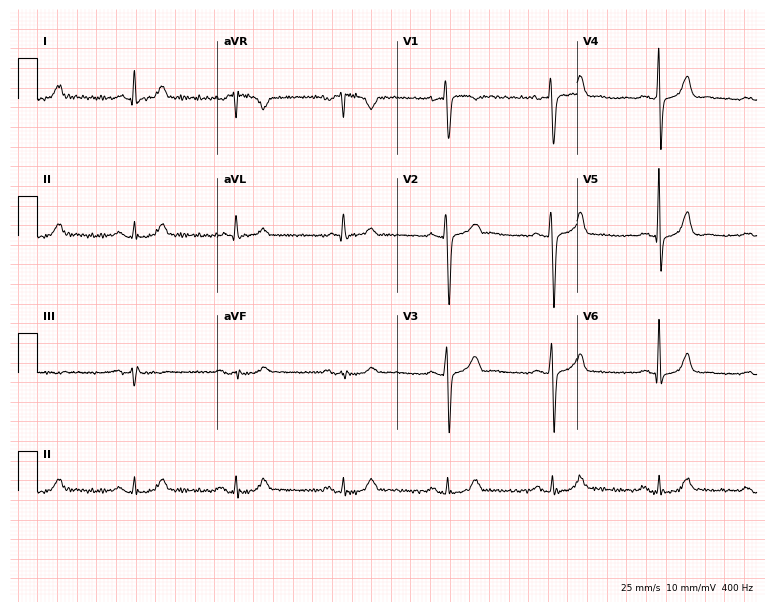
12-lead ECG (7.3-second recording at 400 Hz) from a male, 52 years old. Screened for six findings — first-degree AV block, right bundle branch block (RBBB), left bundle branch block (LBBB), sinus bradycardia, atrial fibrillation (AF), sinus tachycardia — none is recorded.